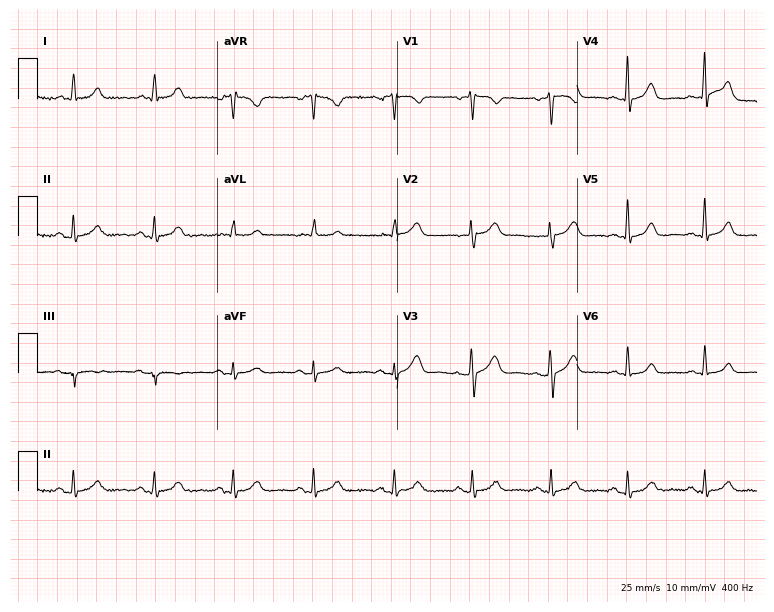
12-lead ECG (7.3-second recording at 400 Hz) from a 54-year-old woman. Labelled as a normal ECG.